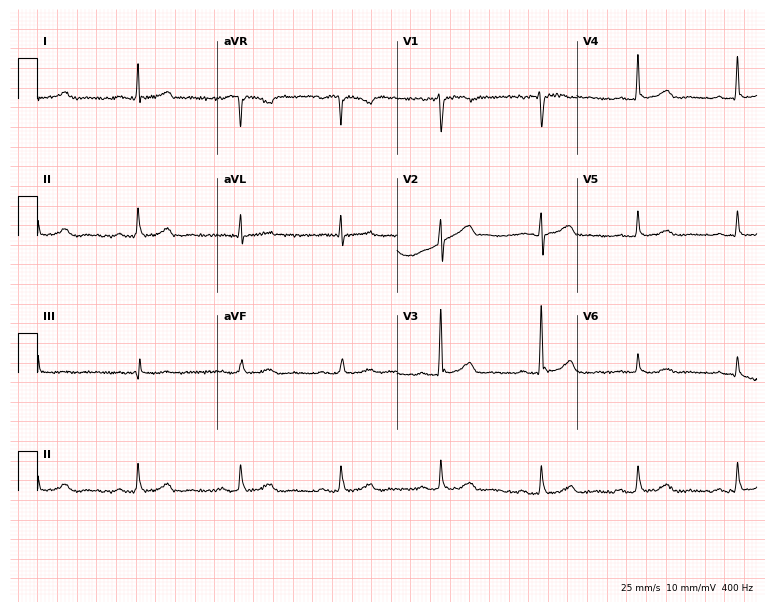
12-lead ECG from a male, 45 years old (7.3-second recording at 400 Hz). Recorded interpretation: within normal limits.